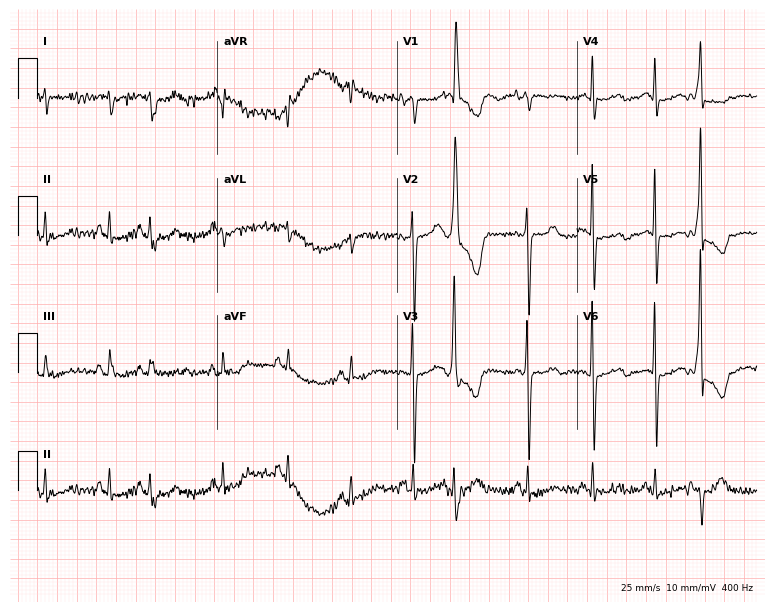
Standard 12-lead ECG recorded from a male, 70 years old (7.3-second recording at 400 Hz). Read as a normal ECG.